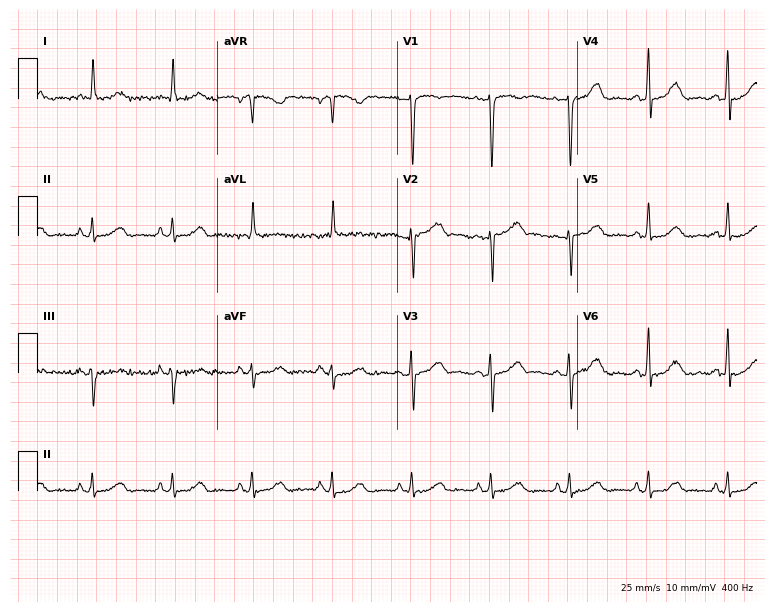
Resting 12-lead electrocardiogram. Patient: a woman, 58 years old. Read as a normal ECG.